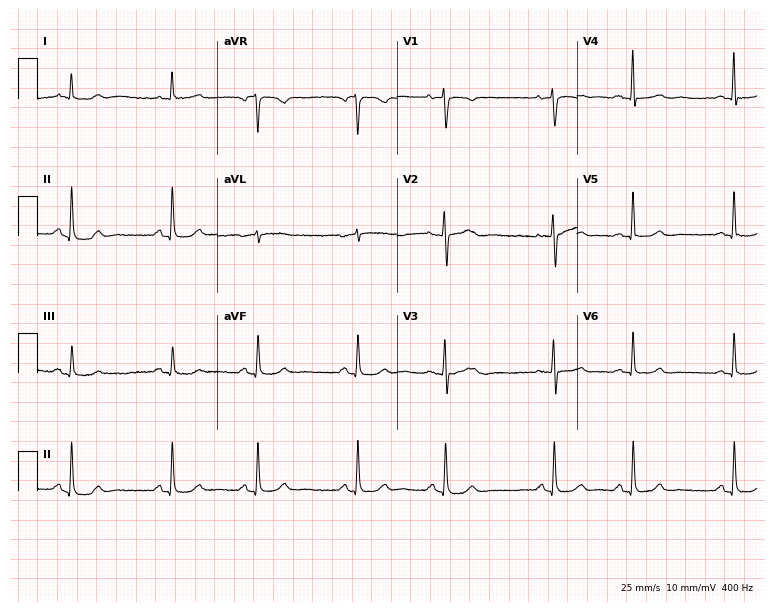
ECG (7.3-second recording at 400 Hz) — a woman, 49 years old. Screened for six findings — first-degree AV block, right bundle branch block (RBBB), left bundle branch block (LBBB), sinus bradycardia, atrial fibrillation (AF), sinus tachycardia — none is recorded.